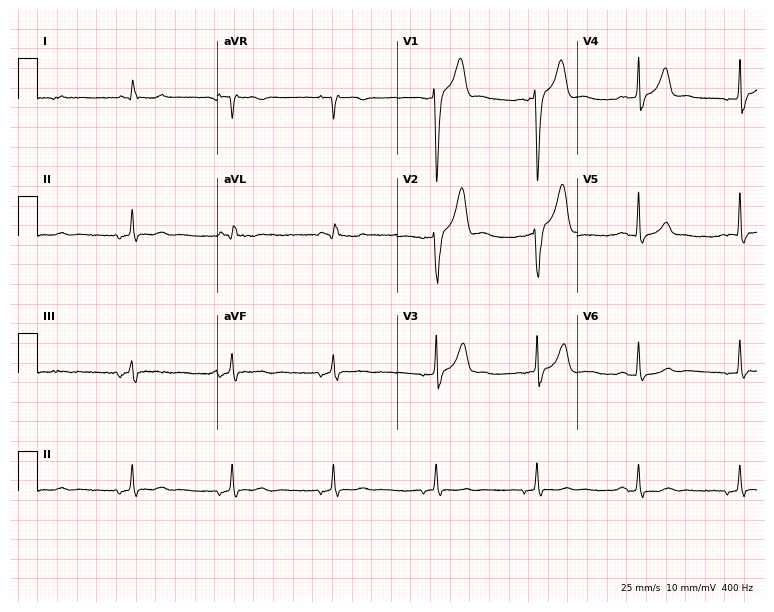
12-lead ECG (7.3-second recording at 400 Hz) from a man, 63 years old. Labelled as a normal ECG.